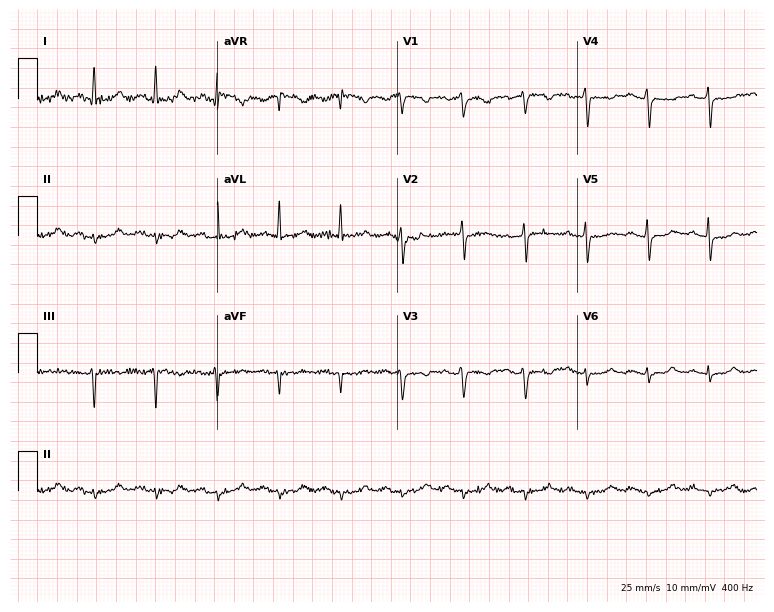
12-lead ECG (7.3-second recording at 400 Hz) from a 64-year-old female patient. Screened for six findings — first-degree AV block, right bundle branch block (RBBB), left bundle branch block (LBBB), sinus bradycardia, atrial fibrillation (AF), sinus tachycardia — none is recorded.